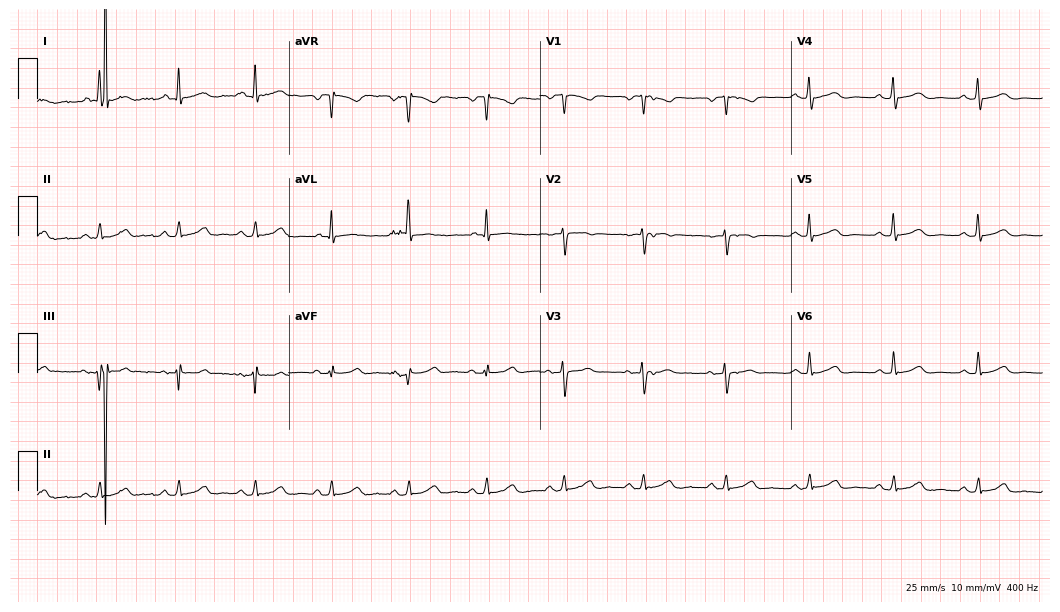
12-lead ECG from a 56-year-old female. Recorded interpretation: within normal limits.